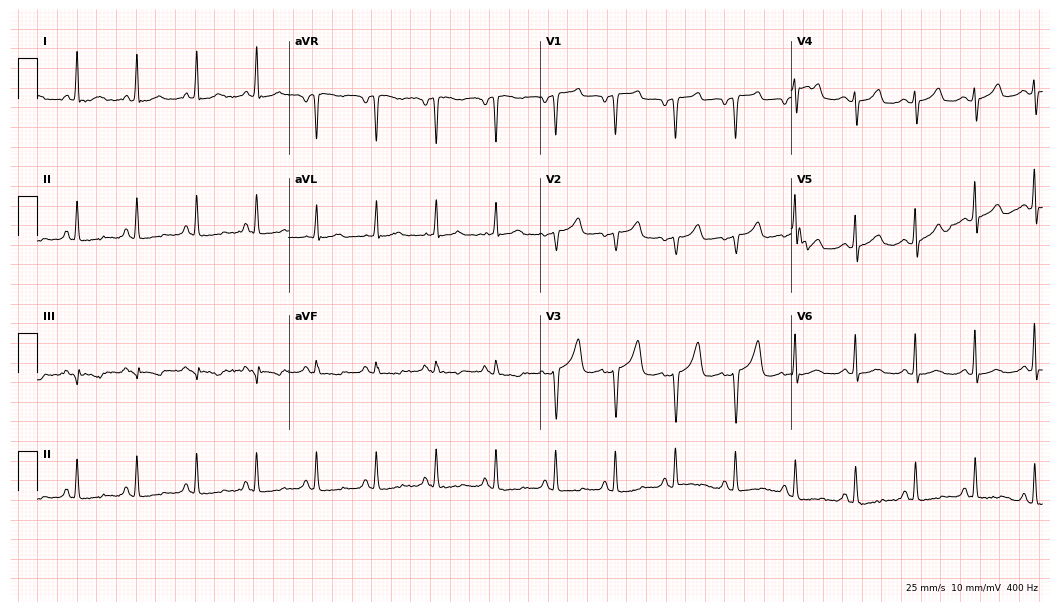
ECG (10.2-second recording at 400 Hz) — a female, 63 years old. Screened for six findings — first-degree AV block, right bundle branch block (RBBB), left bundle branch block (LBBB), sinus bradycardia, atrial fibrillation (AF), sinus tachycardia — none is recorded.